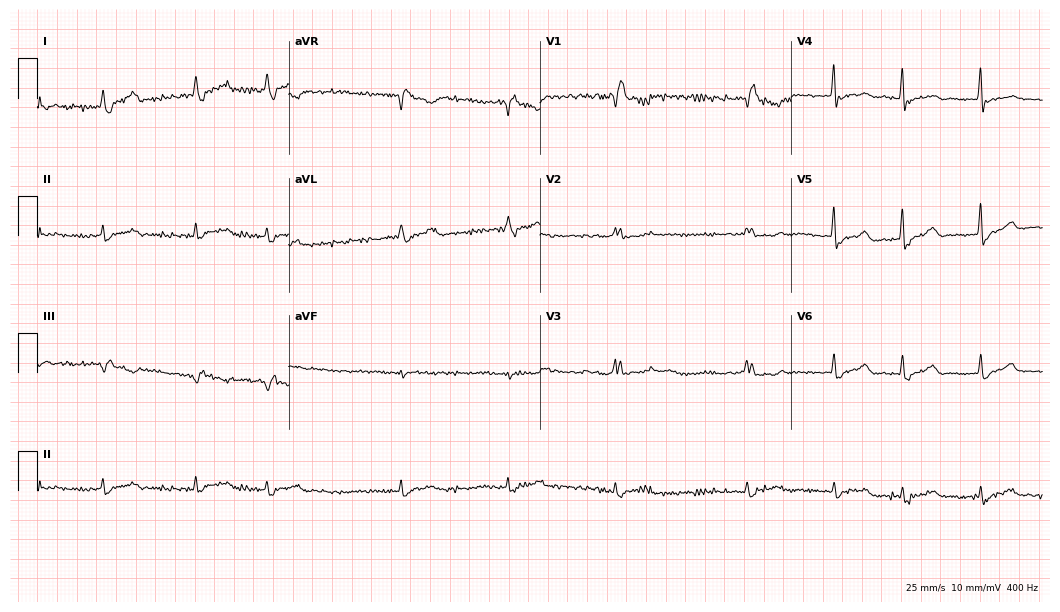
ECG — a male, 66 years old. Findings include right bundle branch block, atrial fibrillation.